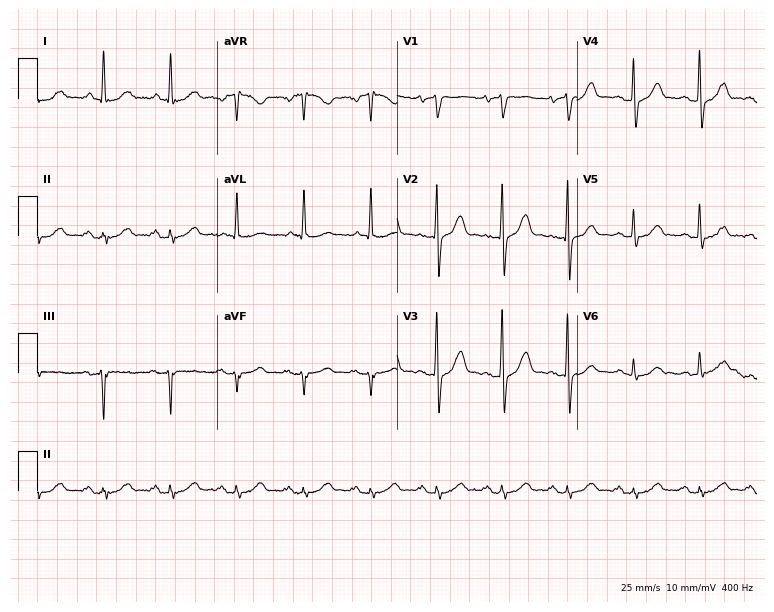
Resting 12-lead electrocardiogram. Patient: a 70-year-old man. Read as a normal ECG.